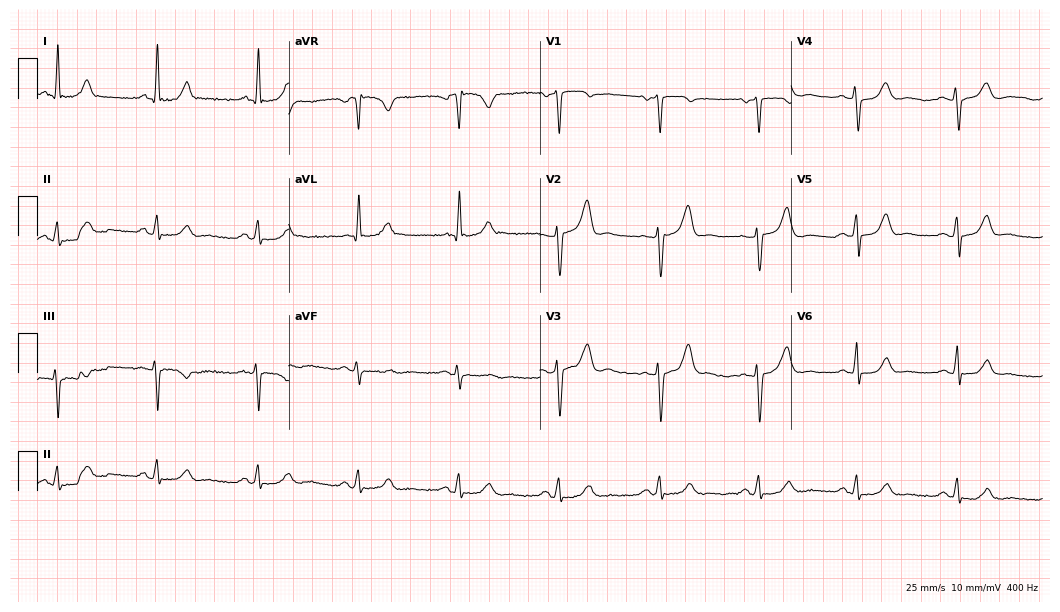
Resting 12-lead electrocardiogram (10.2-second recording at 400 Hz). Patient: a male, 66 years old. Read as a normal ECG.